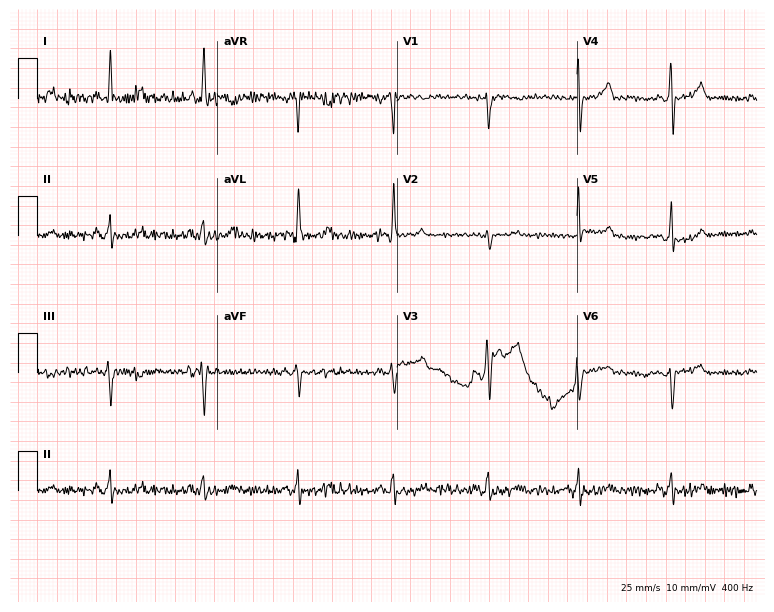
12-lead ECG from a man, 49 years old. No first-degree AV block, right bundle branch block (RBBB), left bundle branch block (LBBB), sinus bradycardia, atrial fibrillation (AF) or sinus tachycardia recorded for this tracing. Findings outside these six are not listed.